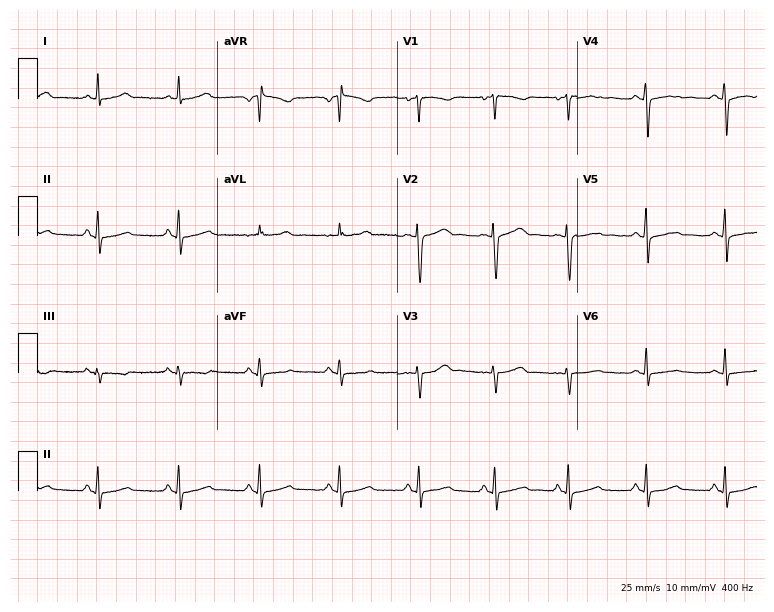
12-lead ECG from a 34-year-old female. Labelled as a normal ECG.